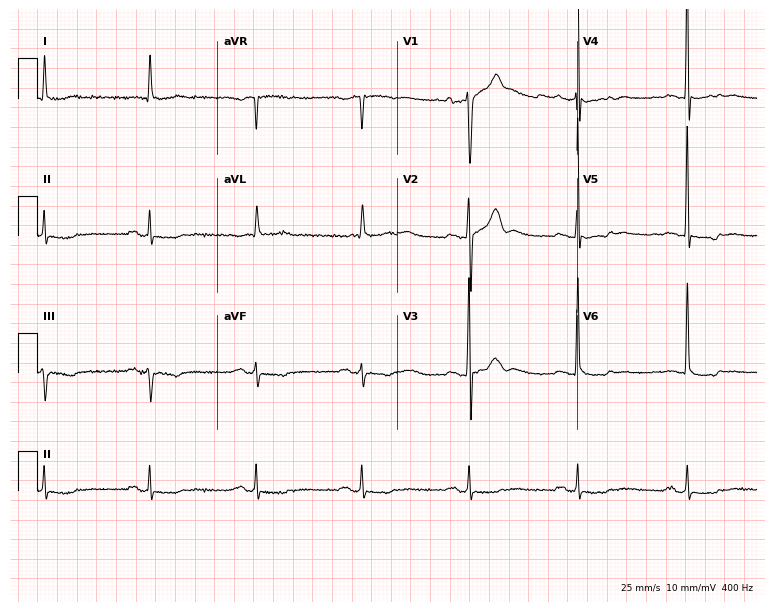
12-lead ECG from a 77-year-old male (7.3-second recording at 400 Hz). No first-degree AV block, right bundle branch block, left bundle branch block, sinus bradycardia, atrial fibrillation or sinus tachycardia recorded for this tracing.